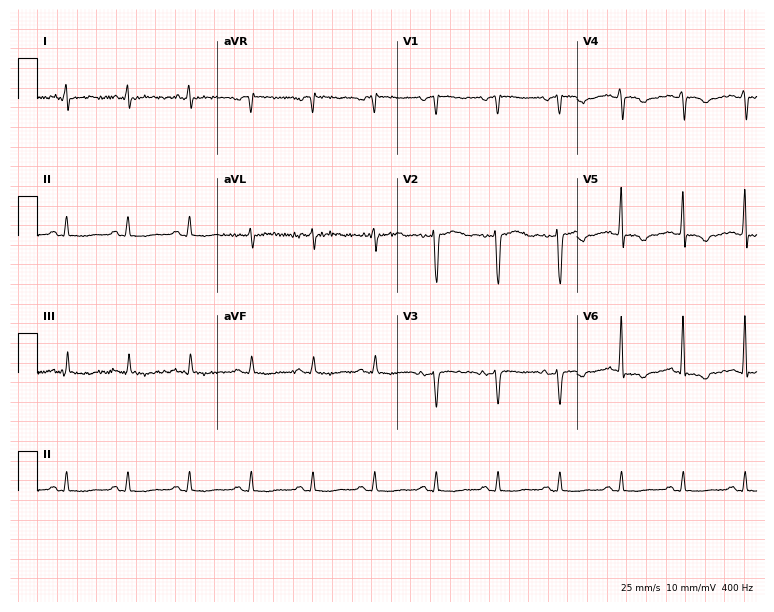
12-lead ECG from a female patient, 31 years old. Screened for six findings — first-degree AV block, right bundle branch block, left bundle branch block, sinus bradycardia, atrial fibrillation, sinus tachycardia — none is recorded.